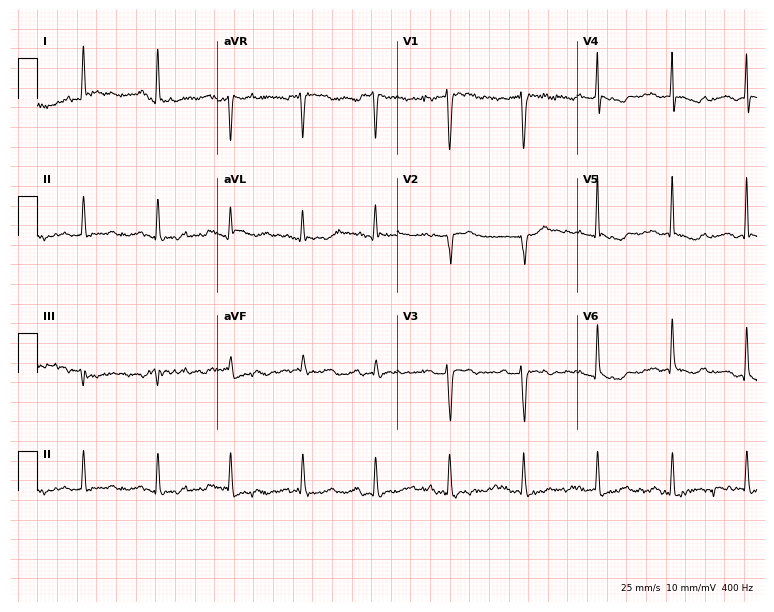
Electrocardiogram (7.3-second recording at 400 Hz), a 48-year-old female patient. Overall reading on record: normal ECG.